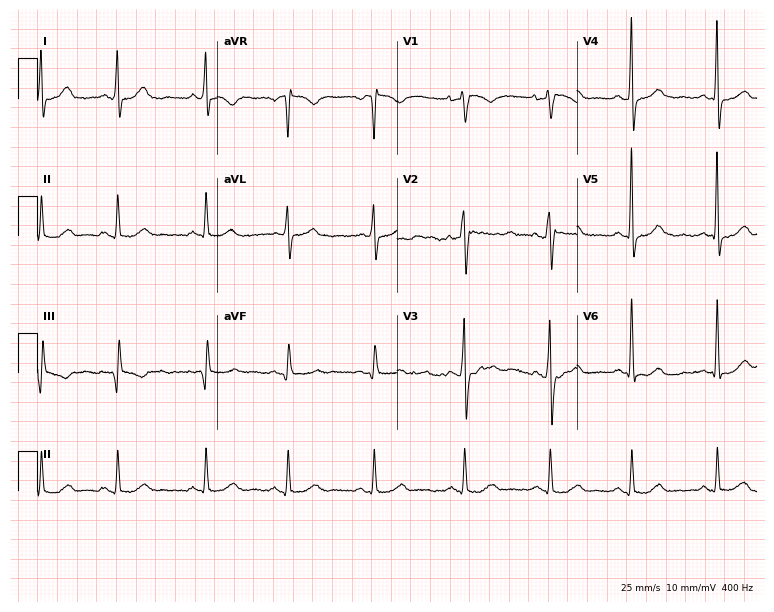
ECG (7.3-second recording at 400 Hz) — a female, 46 years old. Screened for six findings — first-degree AV block, right bundle branch block, left bundle branch block, sinus bradycardia, atrial fibrillation, sinus tachycardia — none is recorded. Only these six findings were labelled.